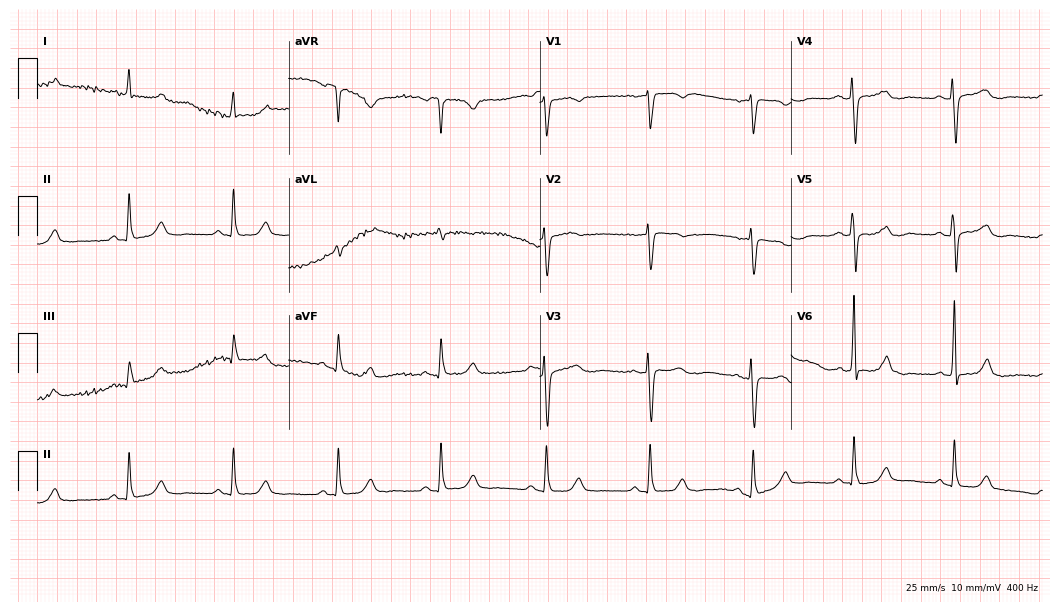
Standard 12-lead ECG recorded from a 76-year-old female patient (10.2-second recording at 400 Hz). None of these six findings is recorded: first-degree AV block, right bundle branch block, left bundle branch block, sinus bradycardia, atrial fibrillation, sinus tachycardia. Findings outside these six are not listed.